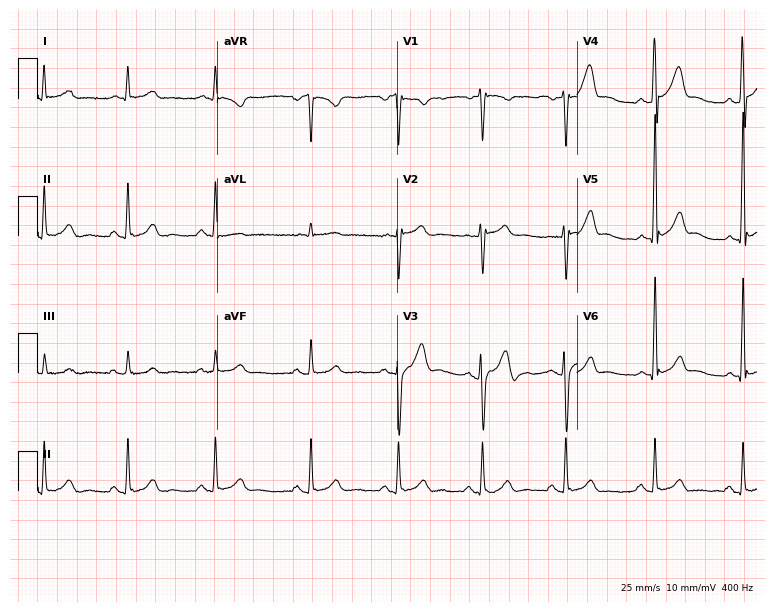
12-lead ECG from a 27-year-old male (7.3-second recording at 400 Hz). No first-degree AV block, right bundle branch block, left bundle branch block, sinus bradycardia, atrial fibrillation or sinus tachycardia recorded for this tracing. Findings outside these six are not listed.